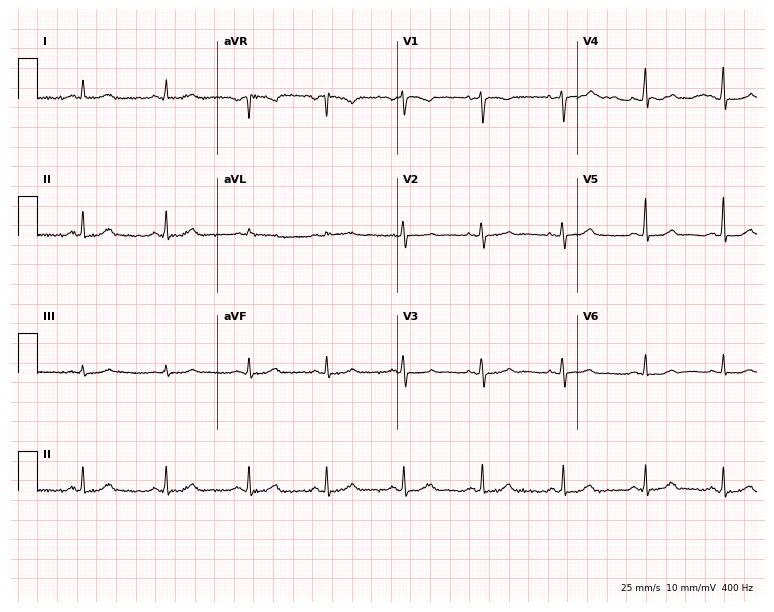
Electrocardiogram (7.3-second recording at 400 Hz), a female, 45 years old. Of the six screened findings (first-degree AV block, right bundle branch block, left bundle branch block, sinus bradycardia, atrial fibrillation, sinus tachycardia), none is recorded. Only these six findings were labelled.